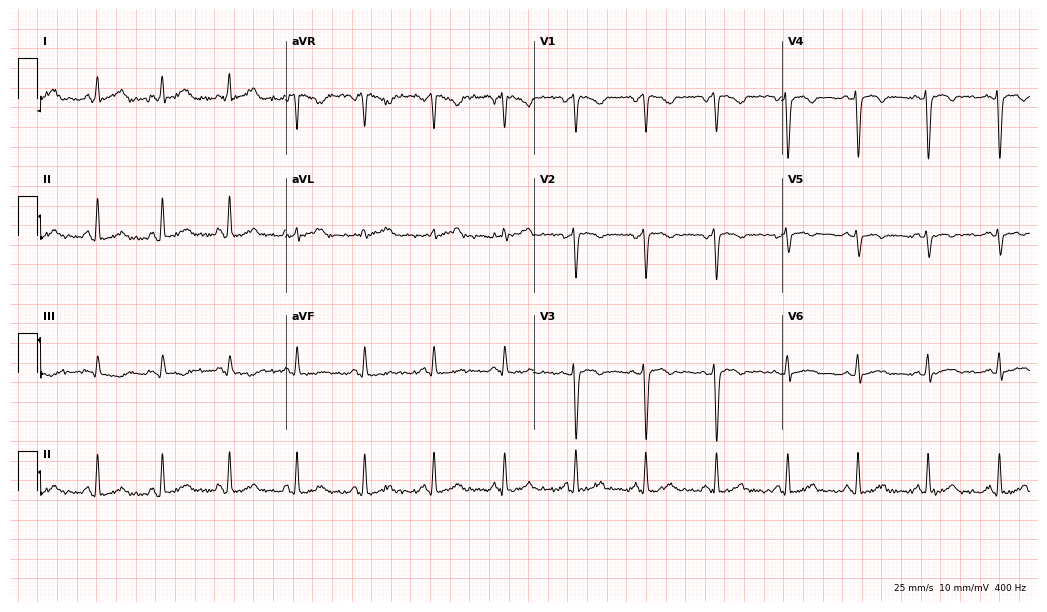
12-lead ECG from a 32-year-old female. No first-degree AV block, right bundle branch block, left bundle branch block, sinus bradycardia, atrial fibrillation or sinus tachycardia recorded for this tracing. Other findings, if any, are not listed.